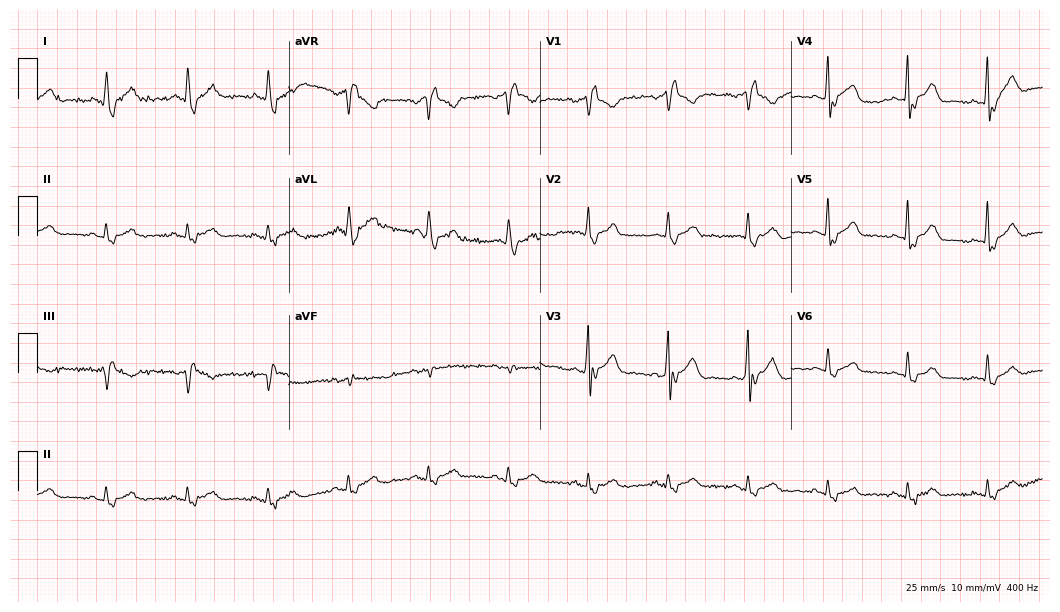
12-lead ECG from a 52-year-old man (10.2-second recording at 400 Hz). Shows right bundle branch block.